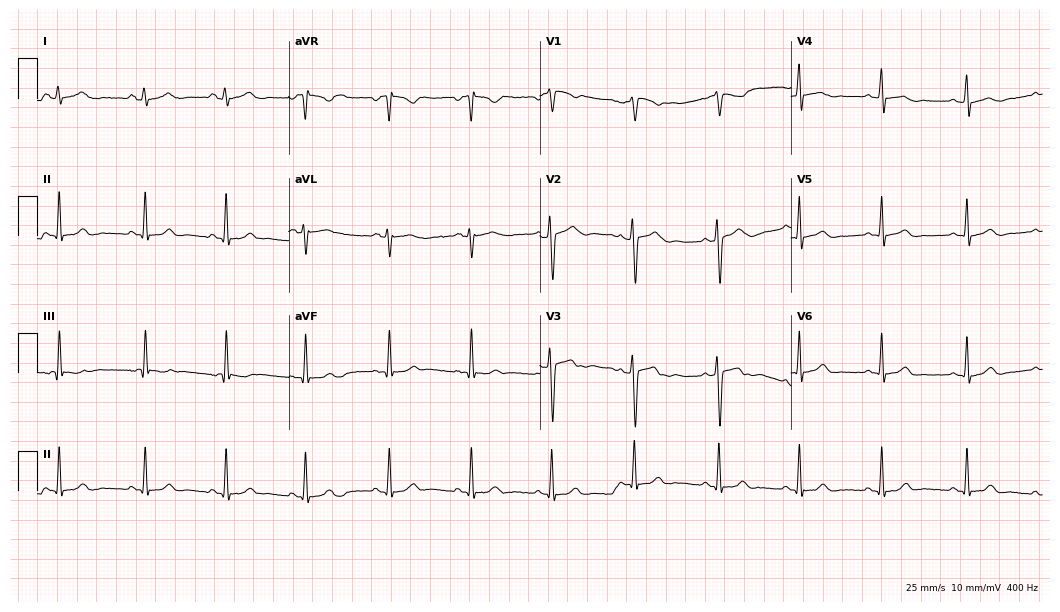
12-lead ECG from a 20-year-old female. Labelled as a normal ECG.